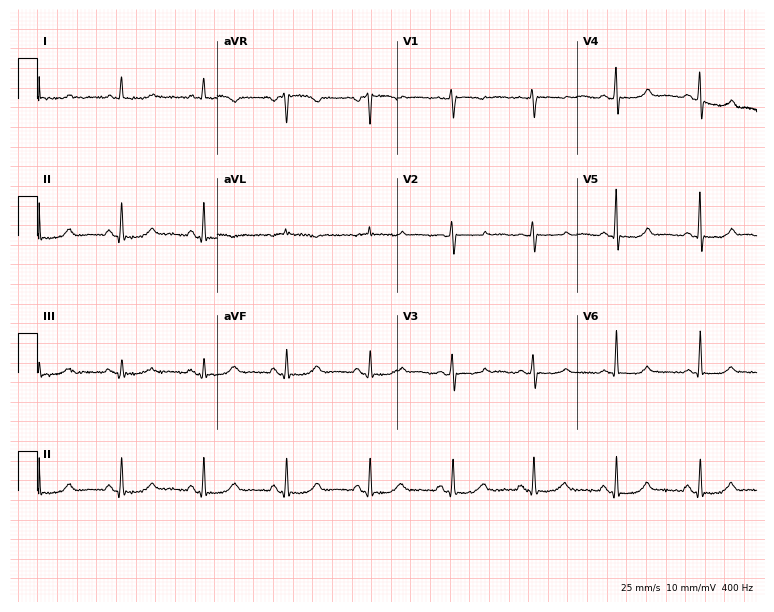
Resting 12-lead electrocardiogram (7.3-second recording at 400 Hz). Patient: a woman, 59 years old. None of these six findings is recorded: first-degree AV block, right bundle branch block, left bundle branch block, sinus bradycardia, atrial fibrillation, sinus tachycardia.